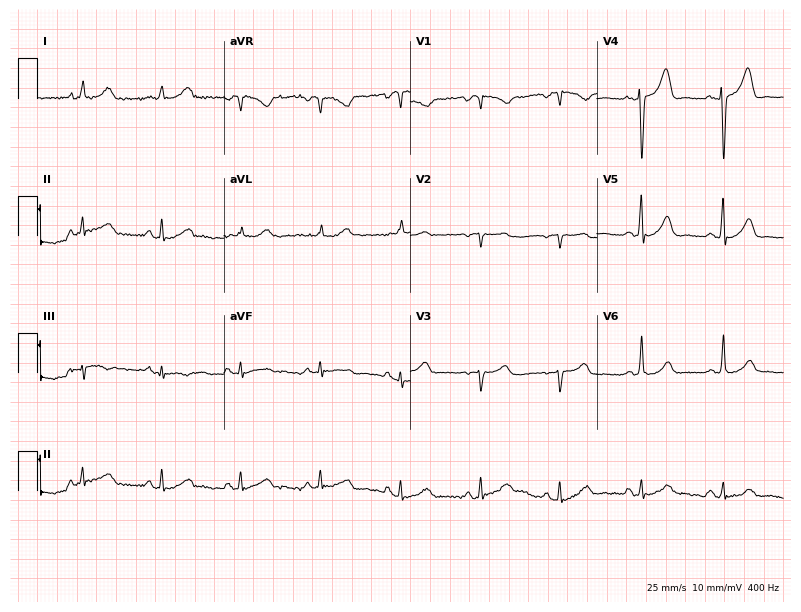
Standard 12-lead ECG recorded from a 73-year-old woman (7.6-second recording at 400 Hz). Read as a normal ECG.